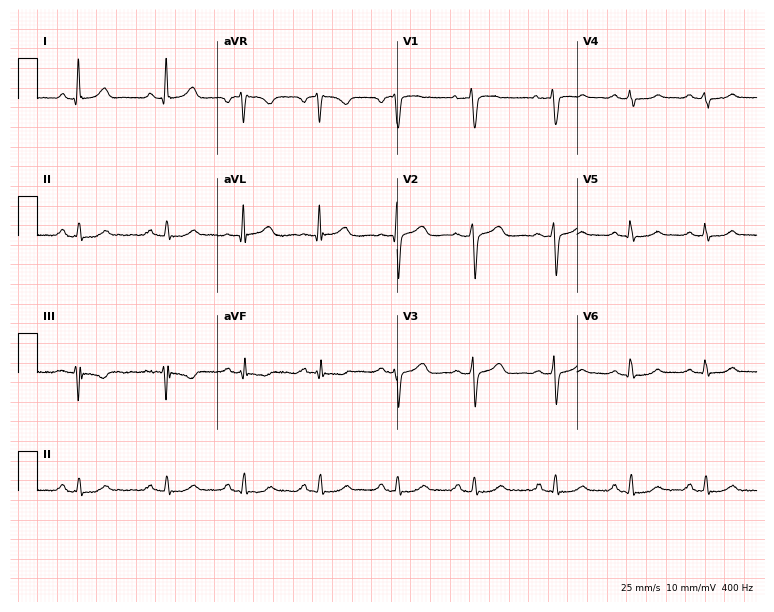
Standard 12-lead ECG recorded from a 46-year-old female patient (7.3-second recording at 400 Hz). Read as a normal ECG.